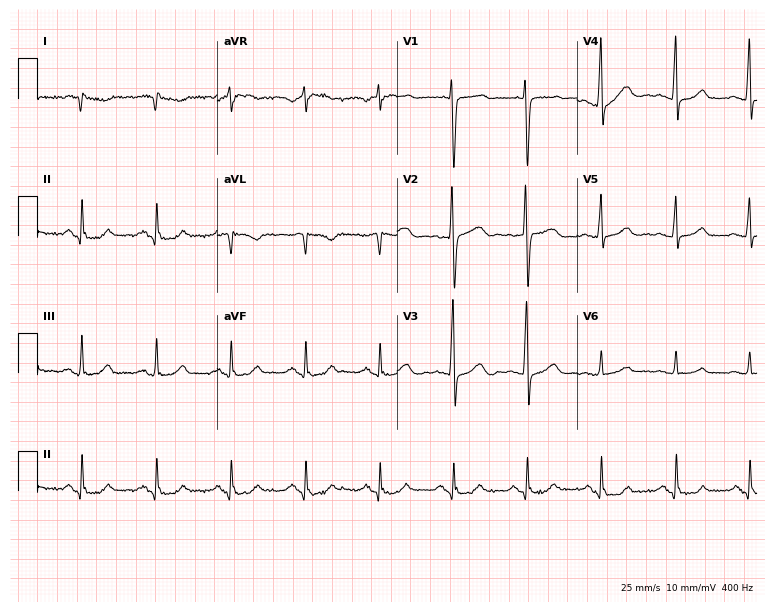
12-lead ECG from a 63-year-old woman. No first-degree AV block, right bundle branch block, left bundle branch block, sinus bradycardia, atrial fibrillation or sinus tachycardia recorded for this tracing.